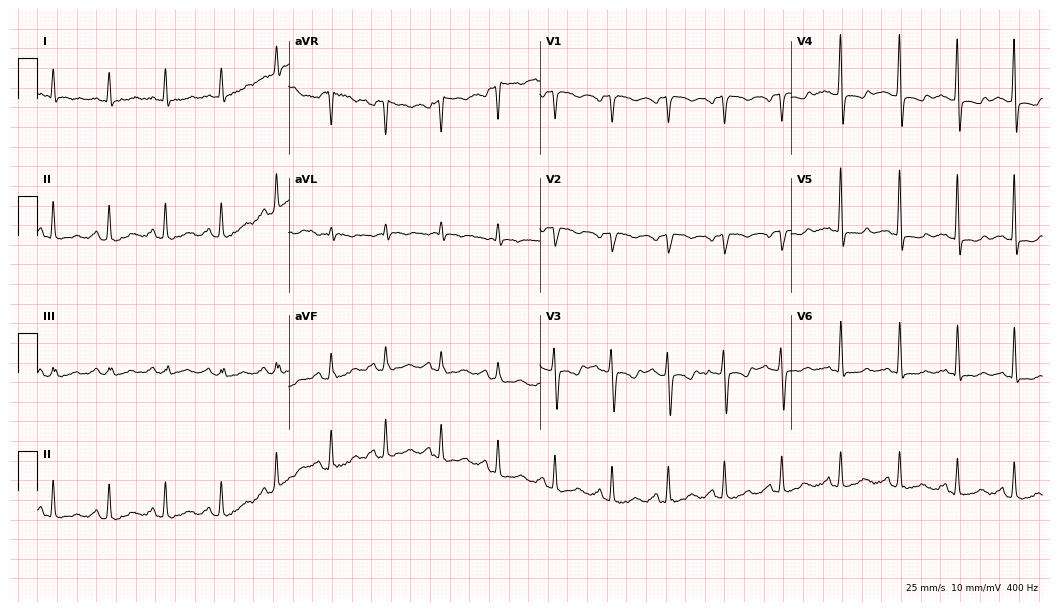
12-lead ECG (10.2-second recording at 400 Hz) from a 41-year-old female patient. Findings include sinus tachycardia (a sinus rate of 100 beats per minute or more).